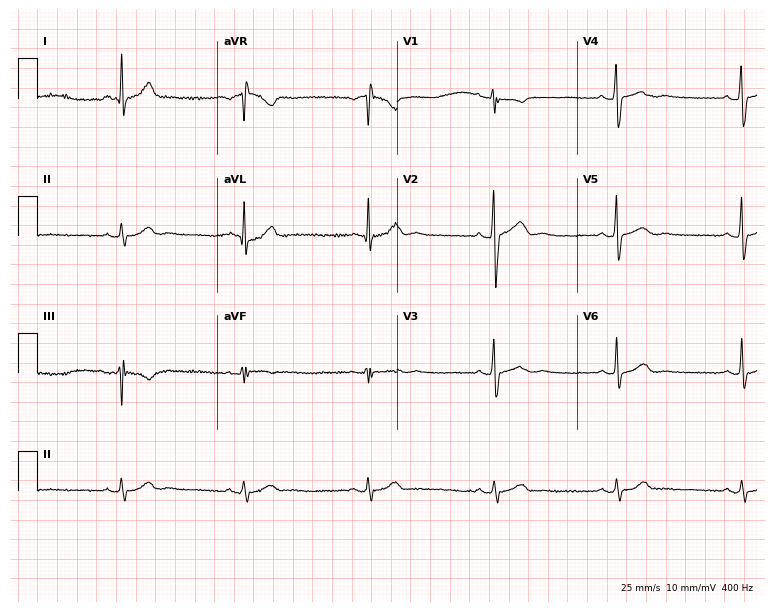
Resting 12-lead electrocardiogram. Patient: a male, 30 years old. The tracing shows sinus bradycardia (a sinus rate of 50 beats per minute or less).